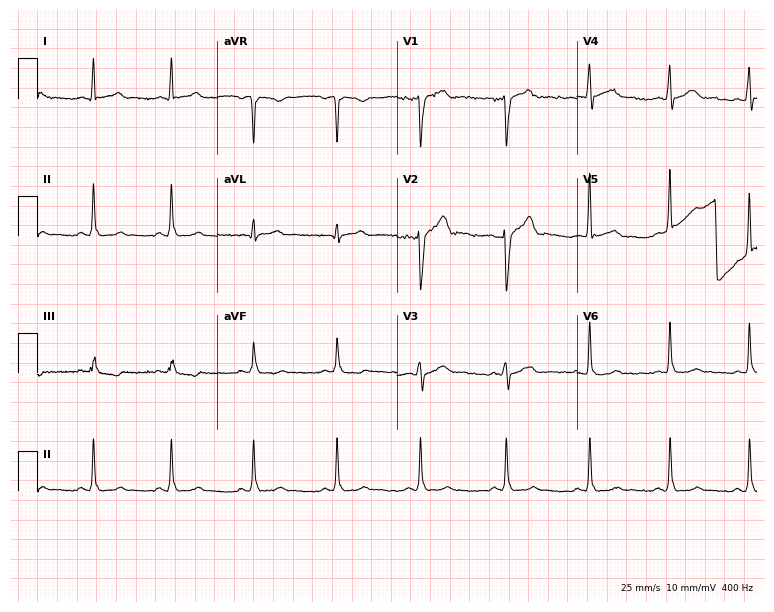
12-lead ECG from a male, 32 years old. Screened for six findings — first-degree AV block, right bundle branch block, left bundle branch block, sinus bradycardia, atrial fibrillation, sinus tachycardia — none is recorded. Findings outside these six are not listed.